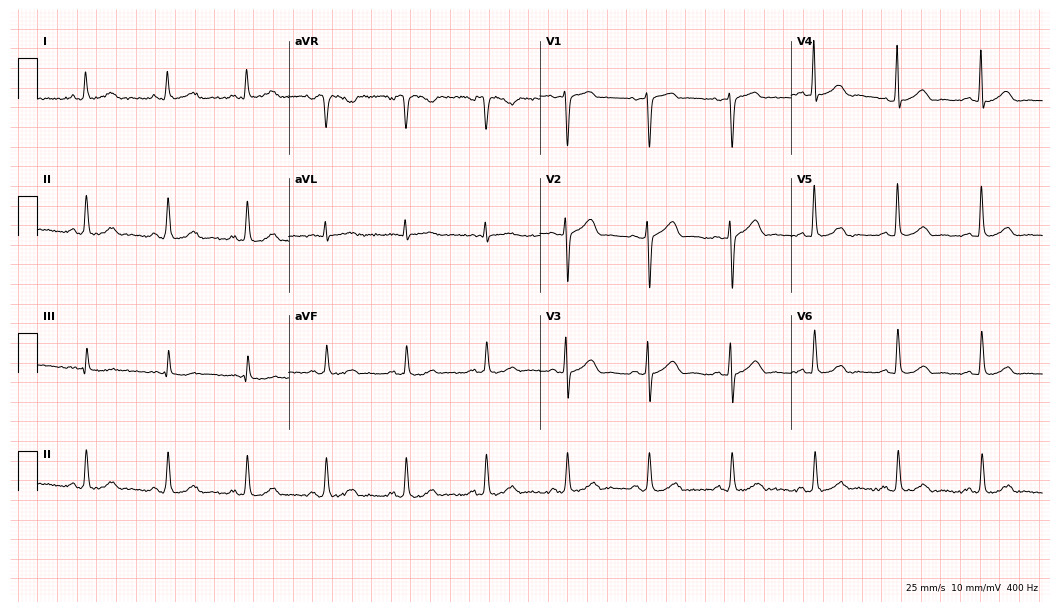
Standard 12-lead ECG recorded from a 69-year-old man (10.2-second recording at 400 Hz). Read as a normal ECG.